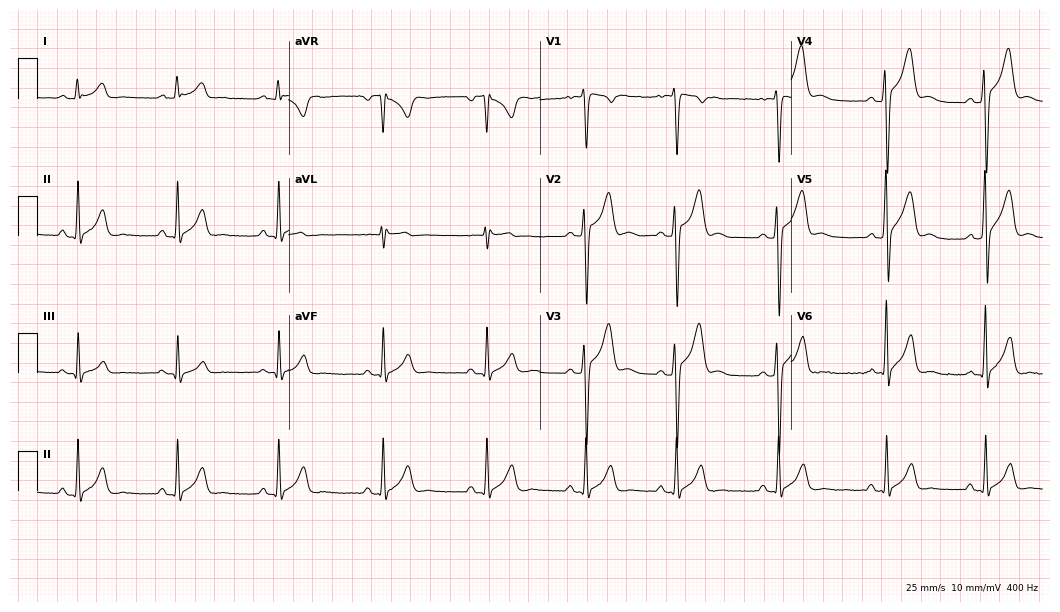
Electrocardiogram, a 23-year-old male patient. Overall reading on record: normal ECG.